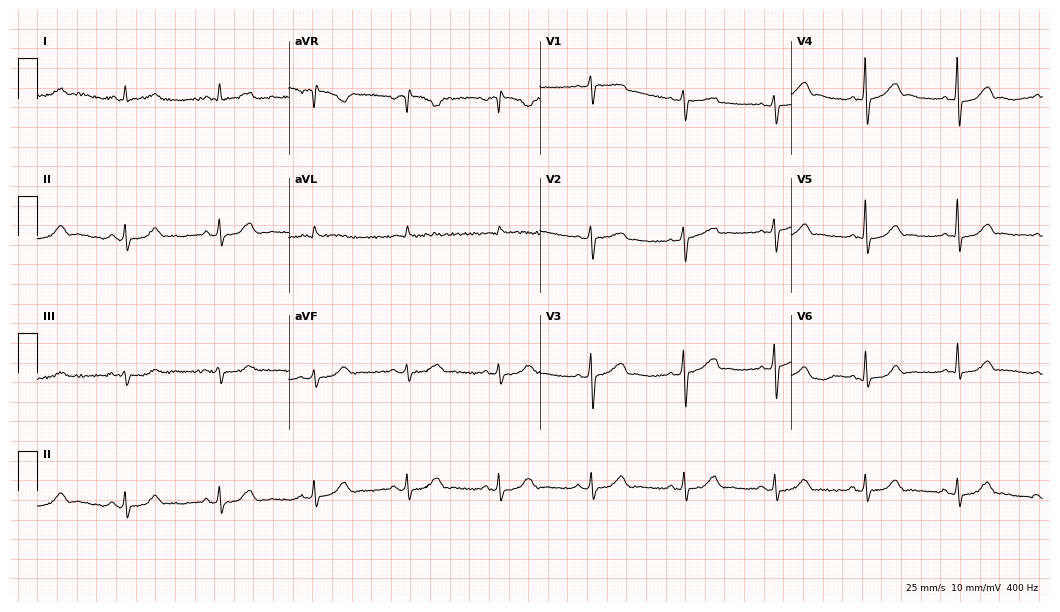
12-lead ECG from an 83-year-old male. No first-degree AV block, right bundle branch block, left bundle branch block, sinus bradycardia, atrial fibrillation or sinus tachycardia recorded for this tracing.